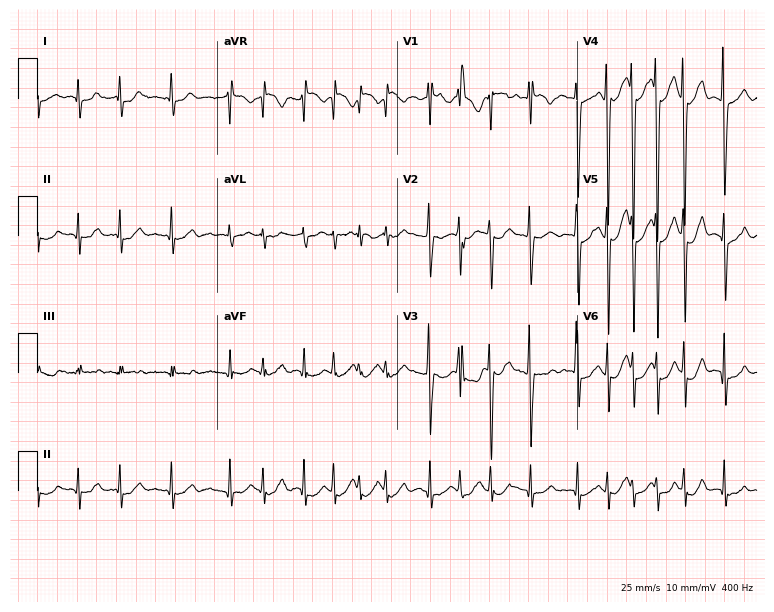
Standard 12-lead ECG recorded from a female, 73 years old (7.3-second recording at 400 Hz). The tracing shows atrial fibrillation.